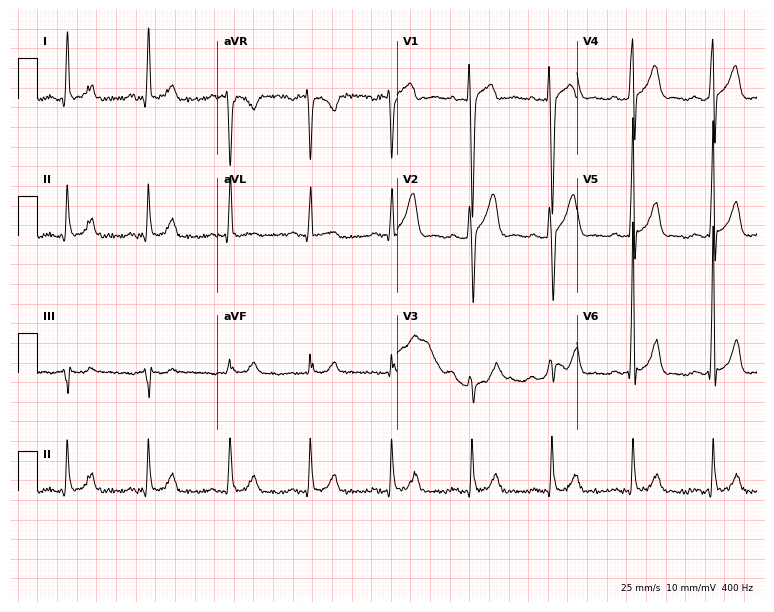
Standard 12-lead ECG recorded from a male, 40 years old. Read as a normal ECG.